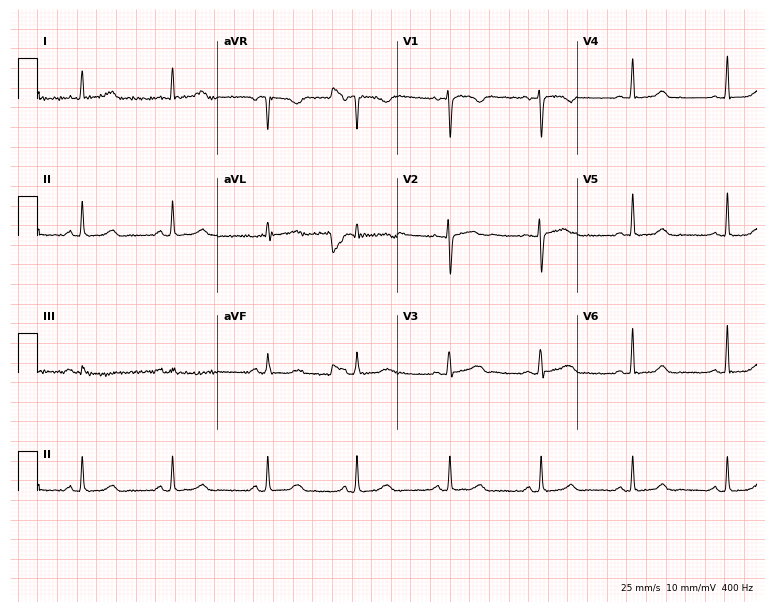
12-lead ECG from a 34-year-old female patient. Recorded interpretation: within normal limits.